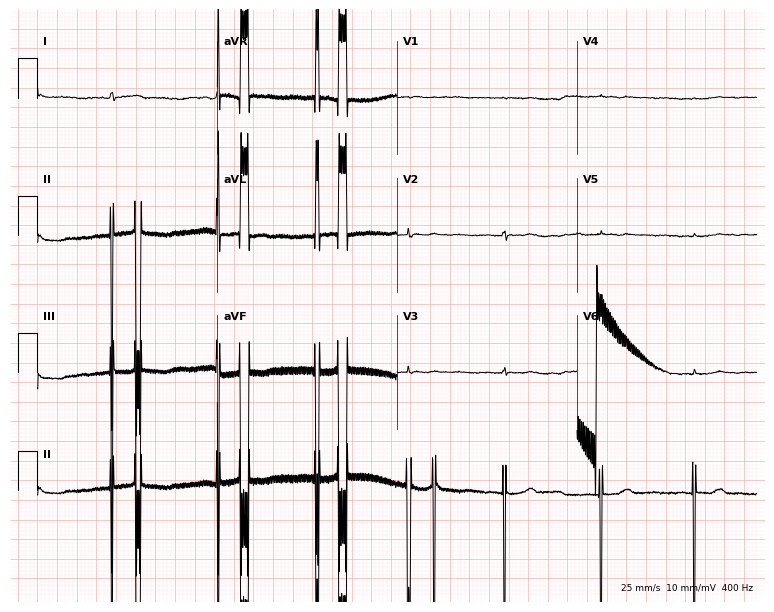
ECG — a 27-year-old woman. Screened for six findings — first-degree AV block, right bundle branch block, left bundle branch block, sinus bradycardia, atrial fibrillation, sinus tachycardia — none is recorded. Only these six findings were labelled.